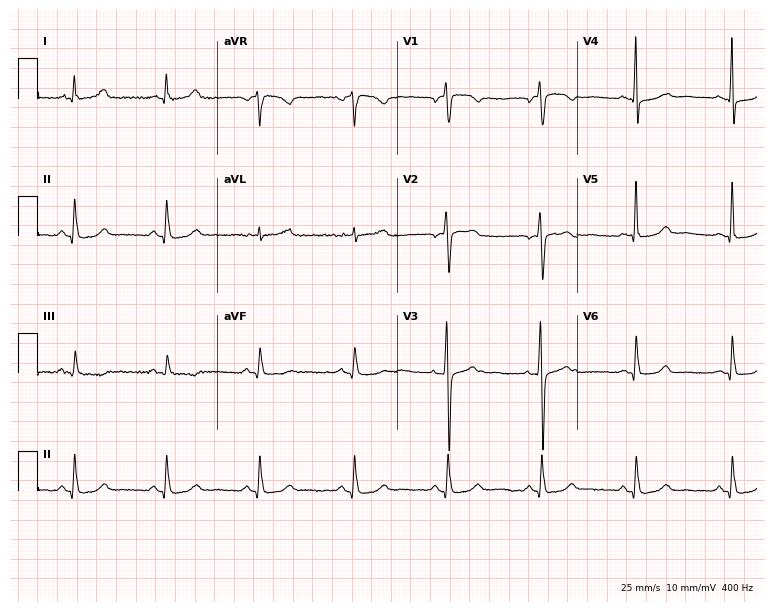
12-lead ECG from a woman, 67 years old. No first-degree AV block, right bundle branch block, left bundle branch block, sinus bradycardia, atrial fibrillation or sinus tachycardia recorded for this tracing.